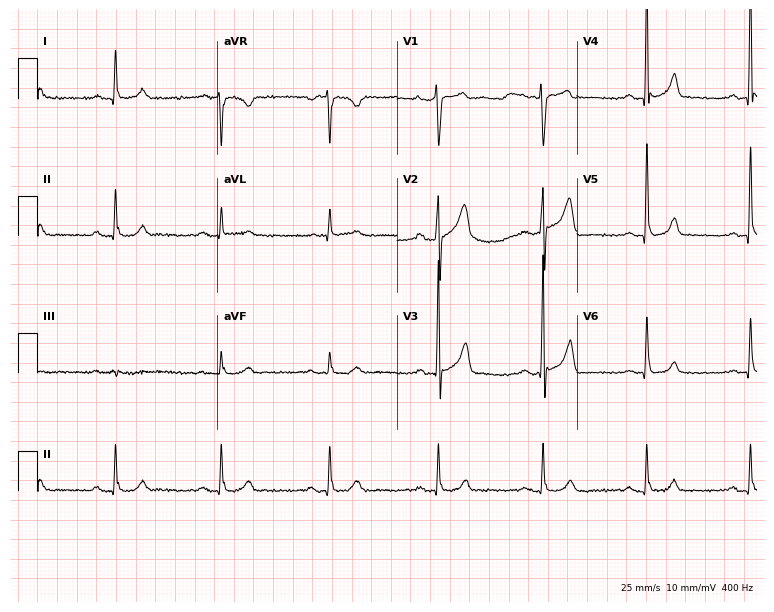
Standard 12-lead ECG recorded from a male patient, 50 years old (7.3-second recording at 400 Hz). None of these six findings is recorded: first-degree AV block, right bundle branch block, left bundle branch block, sinus bradycardia, atrial fibrillation, sinus tachycardia. Other findings, if any, are not listed.